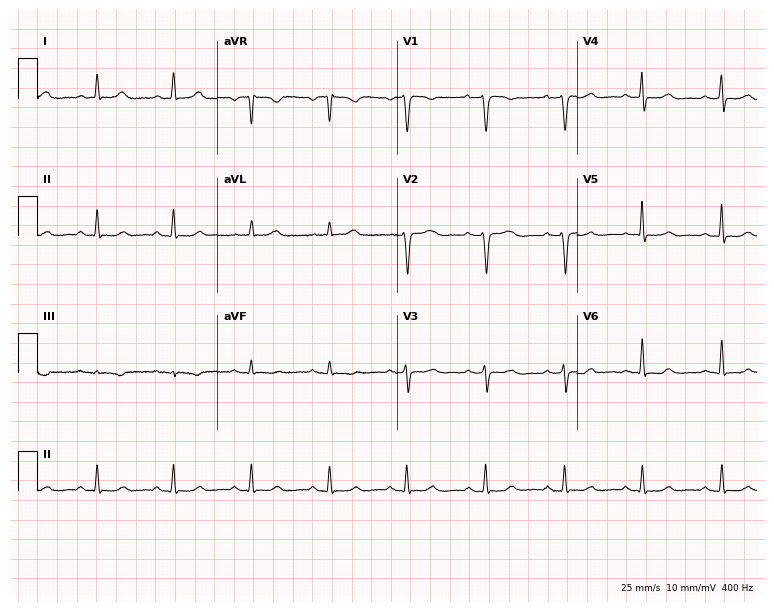
Electrocardiogram (7.3-second recording at 400 Hz), a 55-year-old female. Of the six screened findings (first-degree AV block, right bundle branch block (RBBB), left bundle branch block (LBBB), sinus bradycardia, atrial fibrillation (AF), sinus tachycardia), none is recorded.